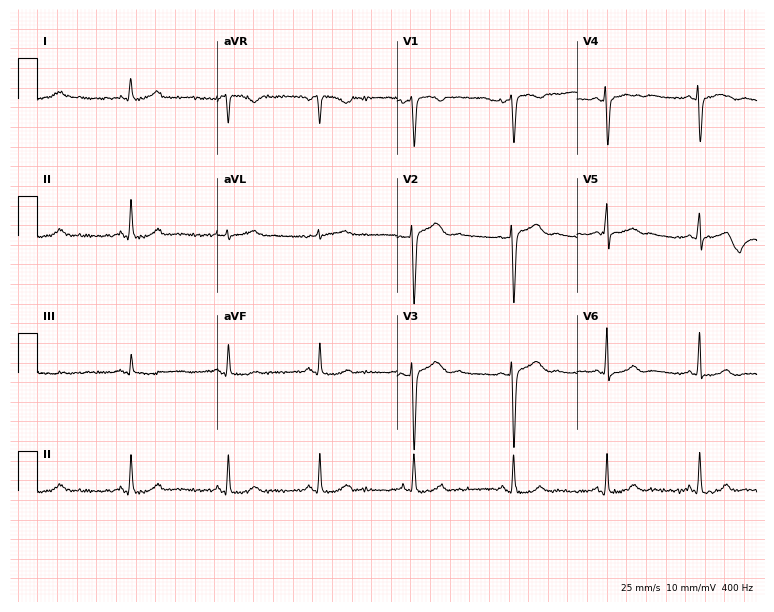
12-lead ECG from a woman, 32 years old (7.3-second recording at 400 Hz). Recorded interpretation: within normal limits.